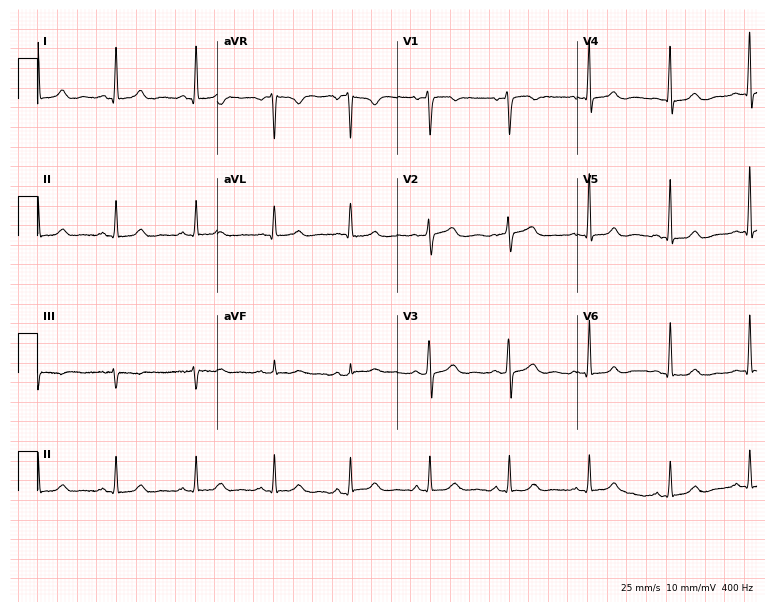
Resting 12-lead electrocardiogram. Patient: a 41-year-old female. None of these six findings is recorded: first-degree AV block, right bundle branch block, left bundle branch block, sinus bradycardia, atrial fibrillation, sinus tachycardia.